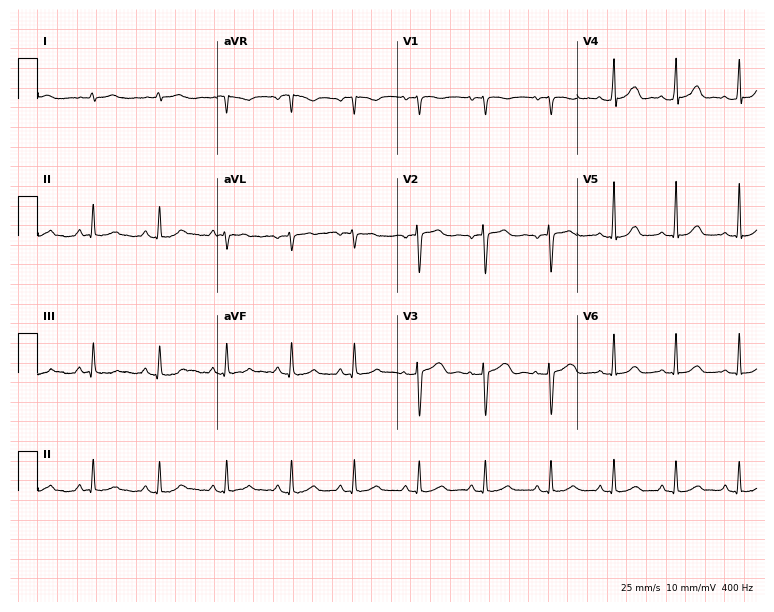
Electrocardiogram, a 43-year-old female. Of the six screened findings (first-degree AV block, right bundle branch block, left bundle branch block, sinus bradycardia, atrial fibrillation, sinus tachycardia), none is recorded.